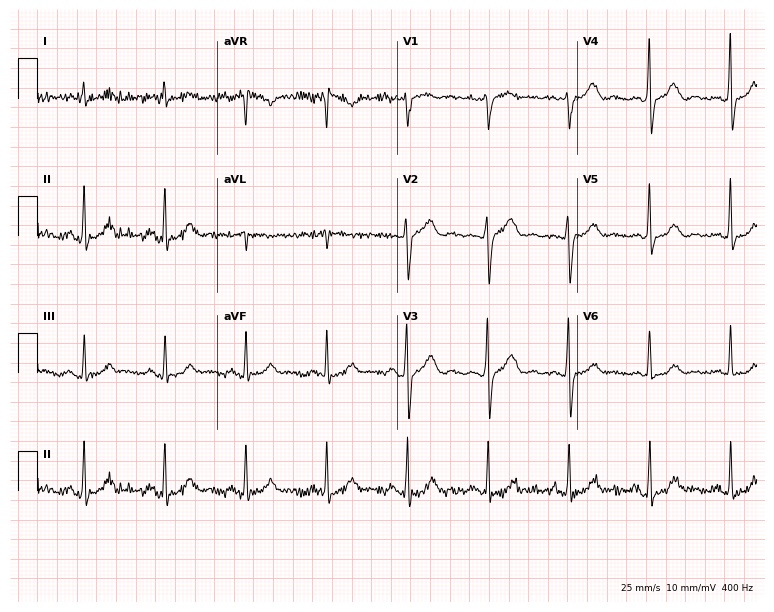
12-lead ECG (7.3-second recording at 400 Hz) from a male patient, 84 years old. Labelled as a normal ECG.